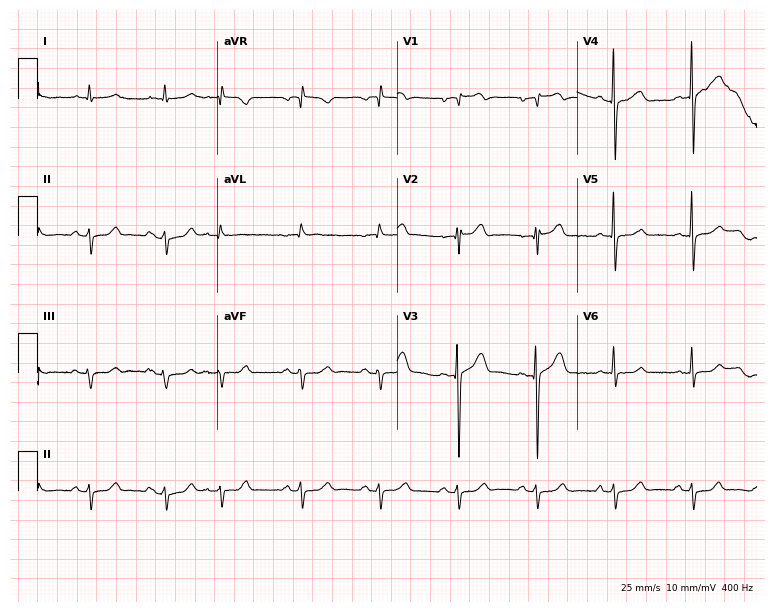
12-lead ECG from a 75-year-old man (7.3-second recording at 400 Hz). No first-degree AV block, right bundle branch block, left bundle branch block, sinus bradycardia, atrial fibrillation or sinus tachycardia recorded for this tracing. Only these six findings were labelled.